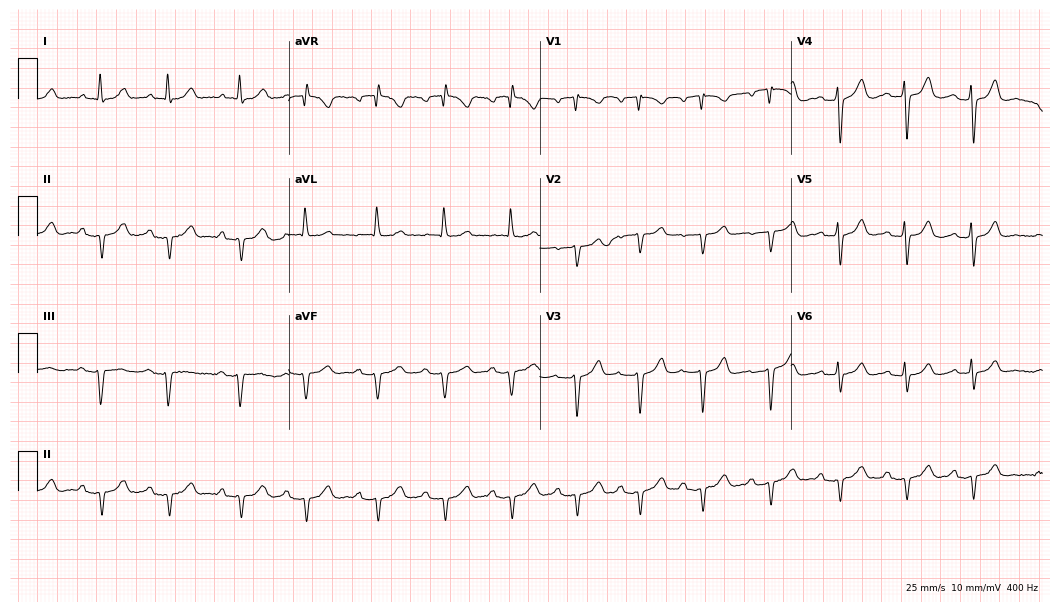
Electrocardiogram (10.2-second recording at 400 Hz), a 67-year-old woman. Interpretation includes first-degree AV block.